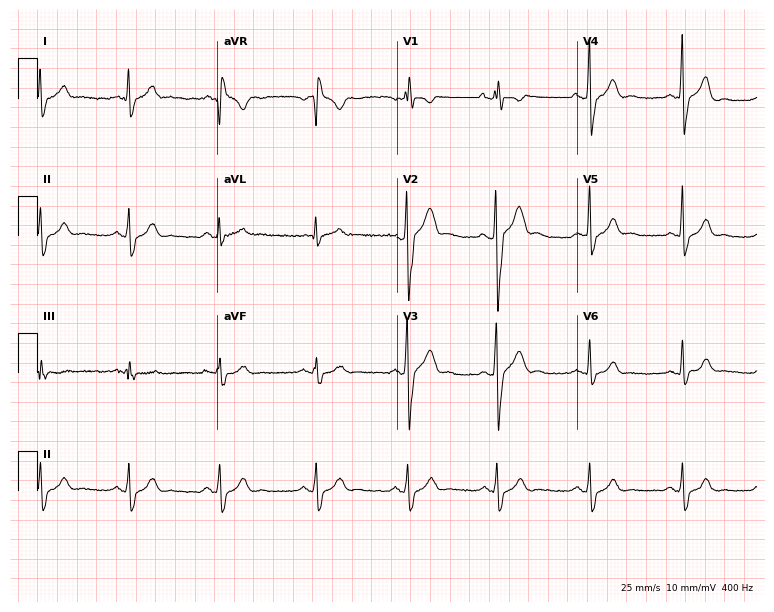
12-lead ECG from a man, 39 years old (7.3-second recording at 400 Hz). No first-degree AV block, right bundle branch block (RBBB), left bundle branch block (LBBB), sinus bradycardia, atrial fibrillation (AF) or sinus tachycardia recorded for this tracing.